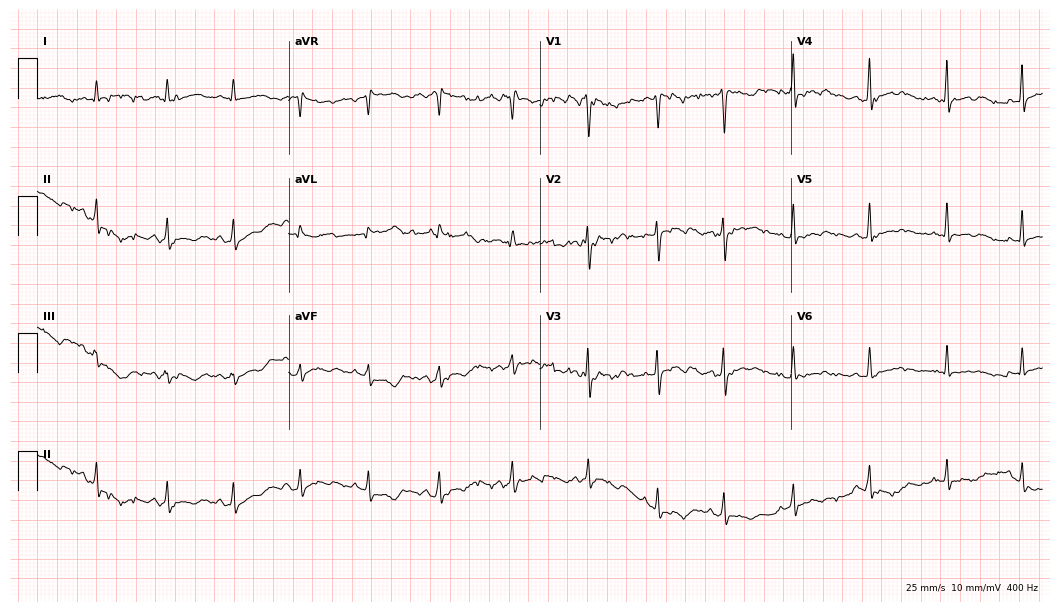
Electrocardiogram (10.2-second recording at 400 Hz), a 19-year-old woman. Of the six screened findings (first-degree AV block, right bundle branch block, left bundle branch block, sinus bradycardia, atrial fibrillation, sinus tachycardia), none is recorded. Only these six findings were labelled.